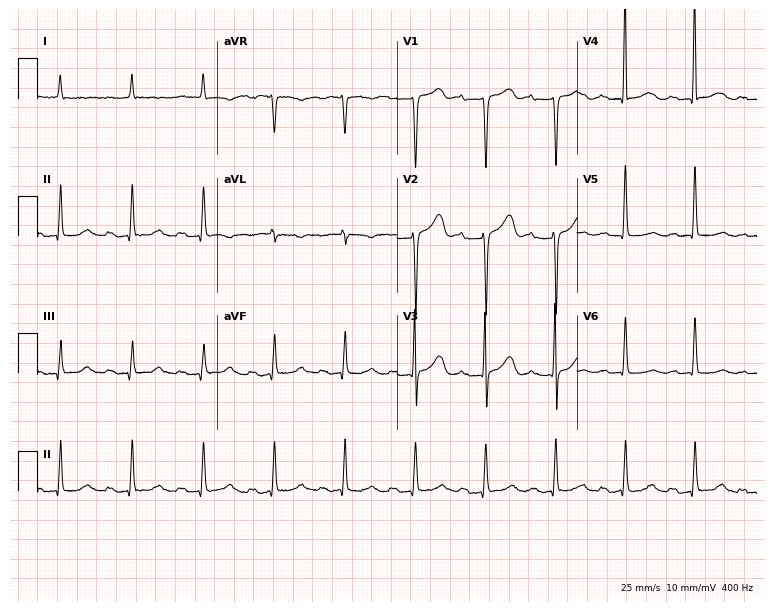
Resting 12-lead electrocardiogram. Patient: an 82-year-old woman. The tracing shows first-degree AV block.